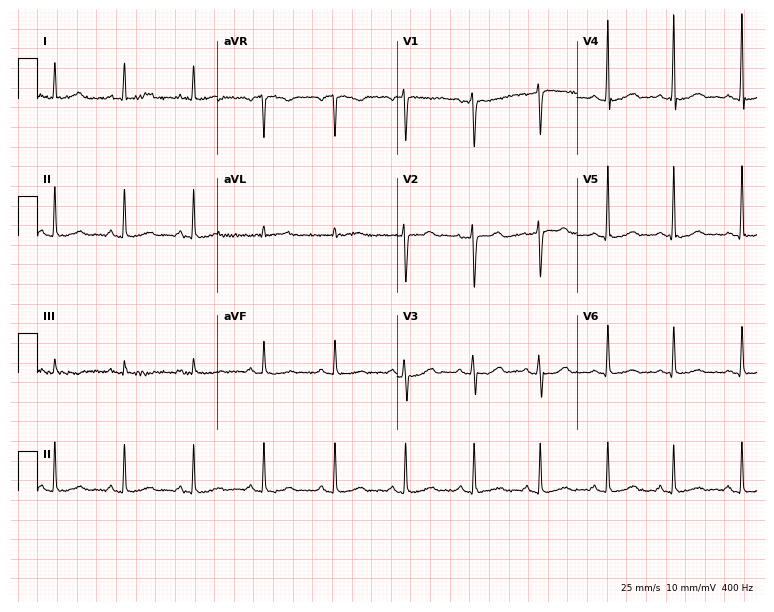
12-lead ECG (7.3-second recording at 400 Hz) from a female patient, 42 years old. Labelled as a normal ECG.